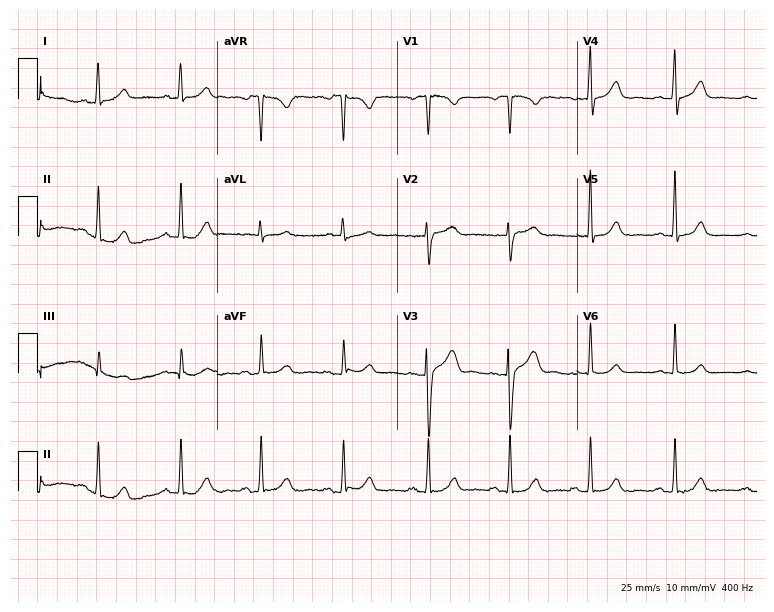
Resting 12-lead electrocardiogram (7.3-second recording at 400 Hz). Patient: a female, 31 years old. Read as a normal ECG.